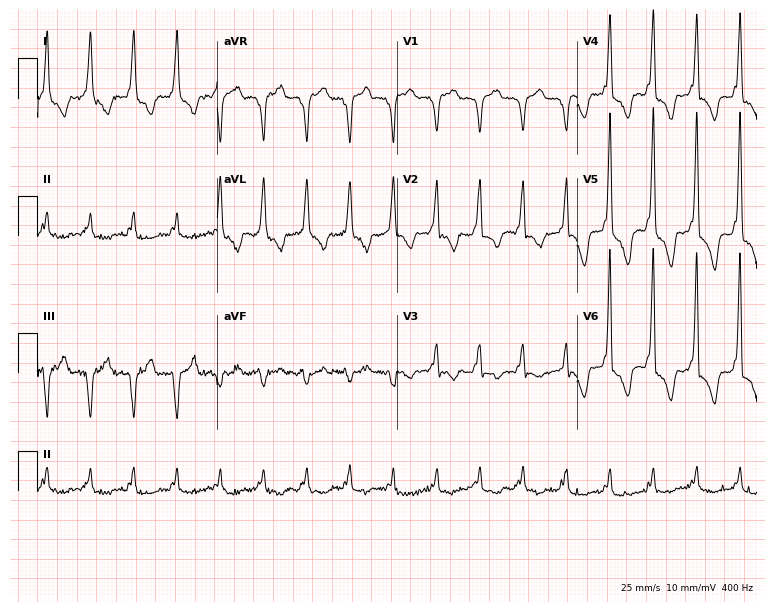
12-lead ECG from a man, 73 years old (7.3-second recording at 400 Hz). Shows atrial fibrillation (AF), sinus tachycardia (a sinus rate of 100 beats per minute or more).